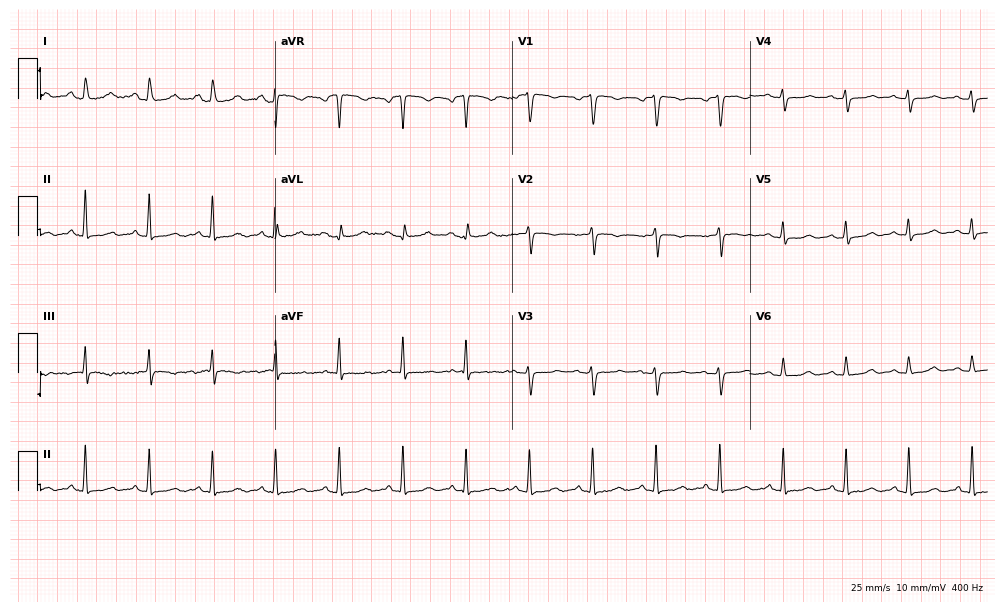
Electrocardiogram, a female, 71 years old. Overall reading on record: normal ECG.